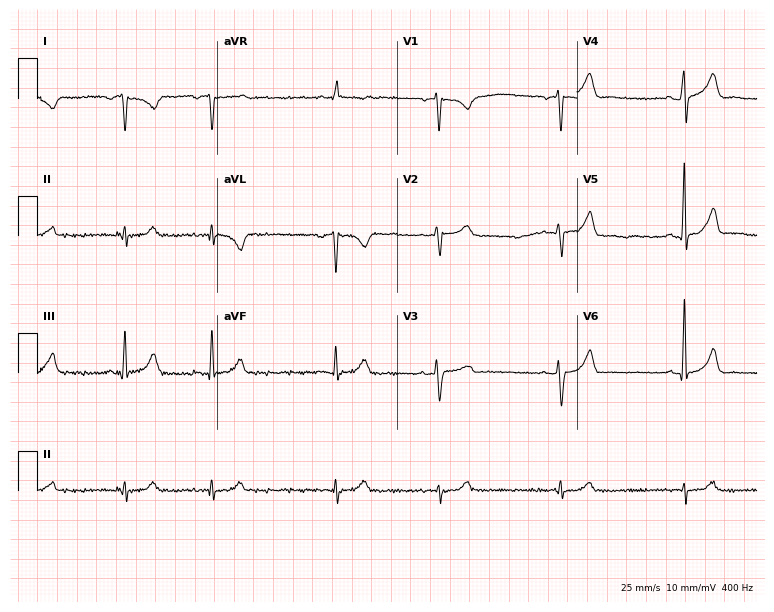
Standard 12-lead ECG recorded from a male patient, 37 years old (7.3-second recording at 400 Hz). None of these six findings is recorded: first-degree AV block, right bundle branch block (RBBB), left bundle branch block (LBBB), sinus bradycardia, atrial fibrillation (AF), sinus tachycardia.